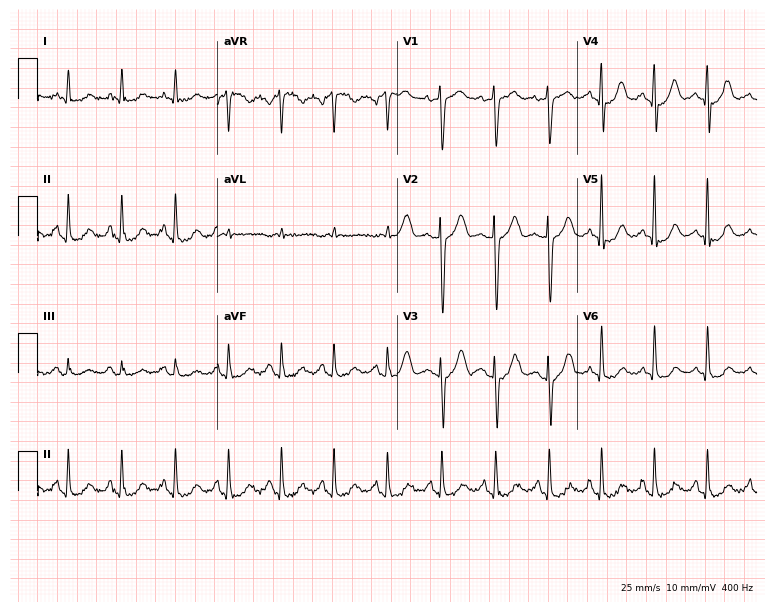
12-lead ECG from a 67-year-old female. Findings include sinus tachycardia (a sinus rate of 100 beats per minute or more).